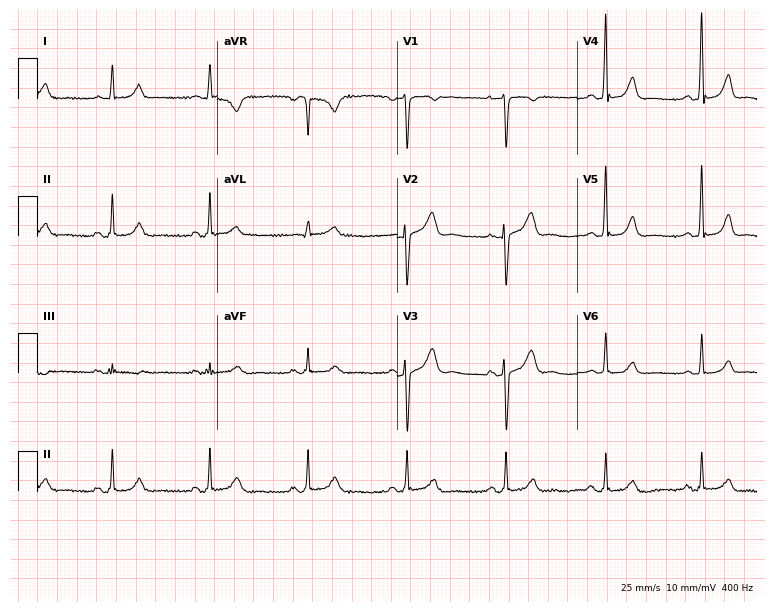
Electrocardiogram, a 45-year-old female. Overall reading on record: normal ECG.